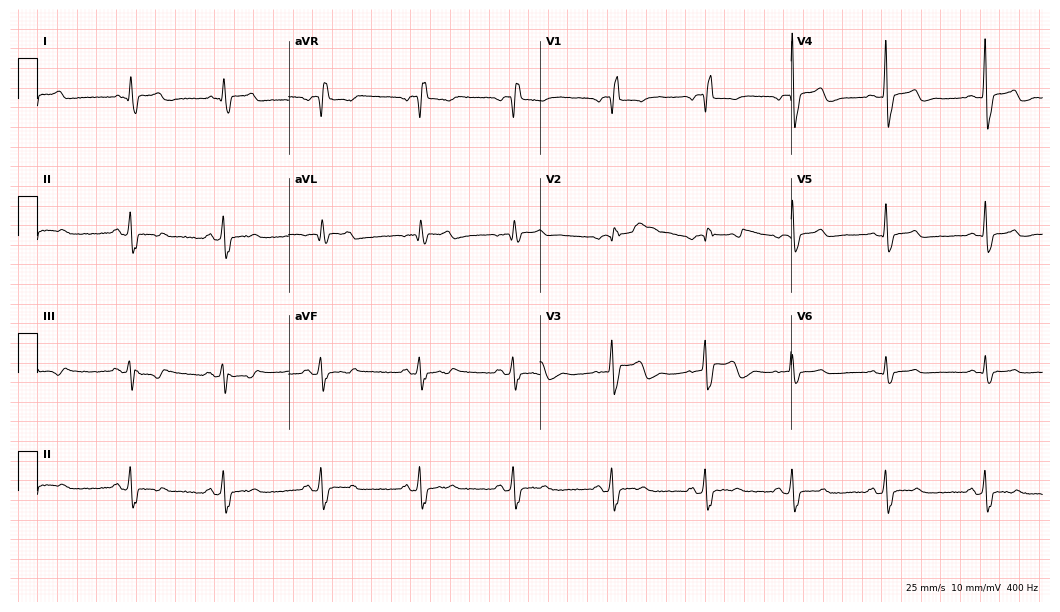
Electrocardiogram (10.2-second recording at 400 Hz), a 55-year-old man. Of the six screened findings (first-degree AV block, right bundle branch block (RBBB), left bundle branch block (LBBB), sinus bradycardia, atrial fibrillation (AF), sinus tachycardia), none is recorded. Only these six findings were labelled.